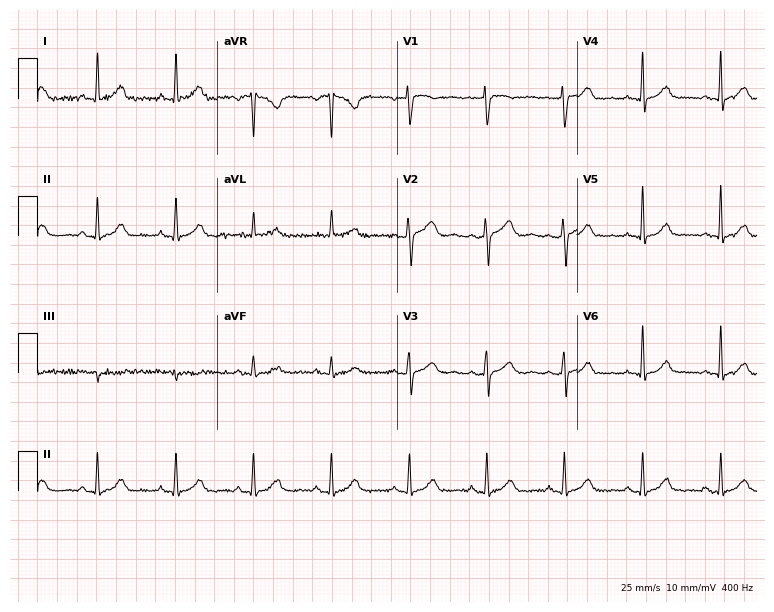
12-lead ECG from a female, 50 years old (7.3-second recording at 400 Hz). No first-degree AV block, right bundle branch block, left bundle branch block, sinus bradycardia, atrial fibrillation or sinus tachycardia recorded for this tracing. Other findings, if any, are not listed.